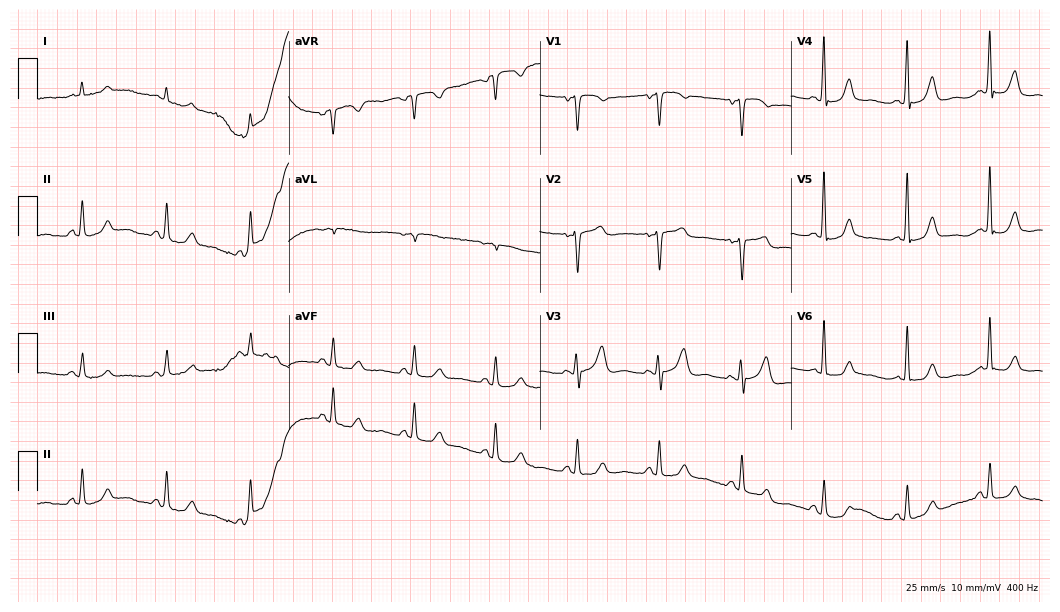
ECG (10.2-second recording at 400 Hz) — a 74-year-old male. Labelled as a normal ECG.